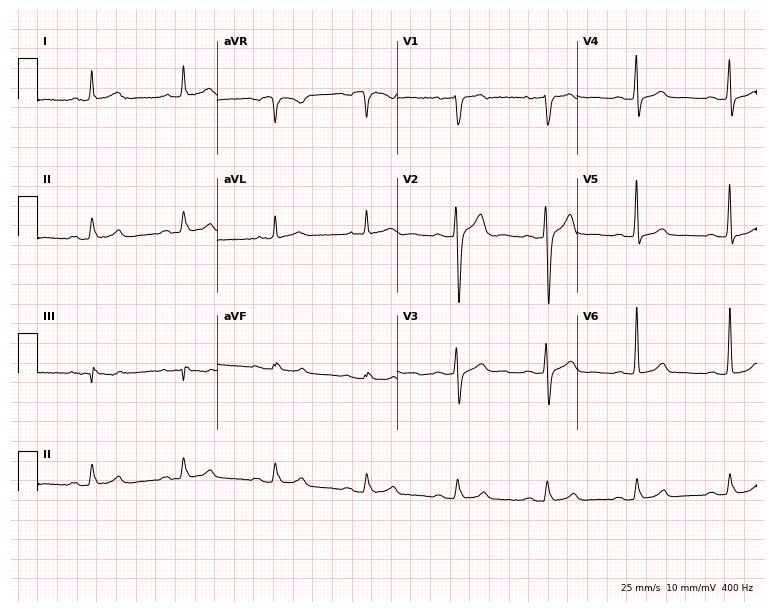
12-lead ECG (7.3-second recording at 400 Hz) from a 68-year-old man. Screened for six findings — first-degree AV block, right bundle branch block, left bundle branch block, sinus bradycardia, atrial fibrillation, sinus tachycardia — none is recorded.